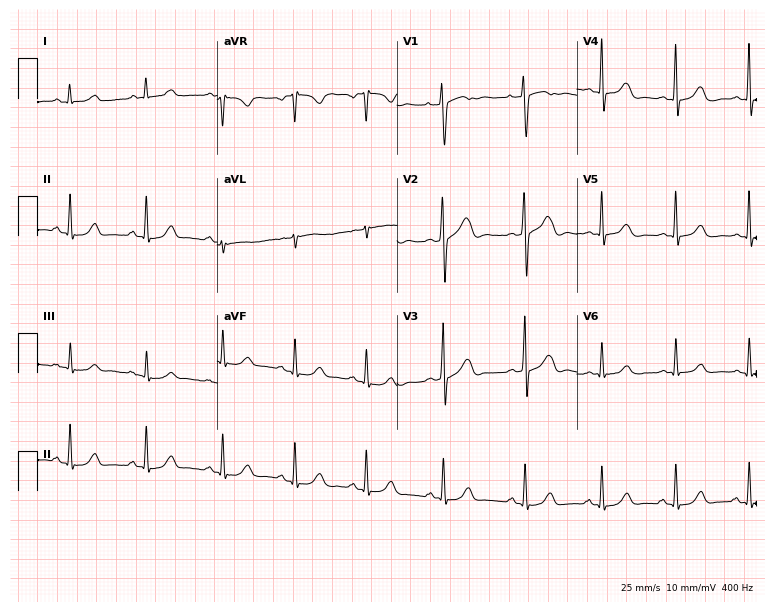
12-lead ECG from a woman, 21 years old. No first-degree AV block, right bundle branch block, left bundle branch block, sinus bradycardia, atrial fibrillation or sinus tachycardia recorded for this tracing.